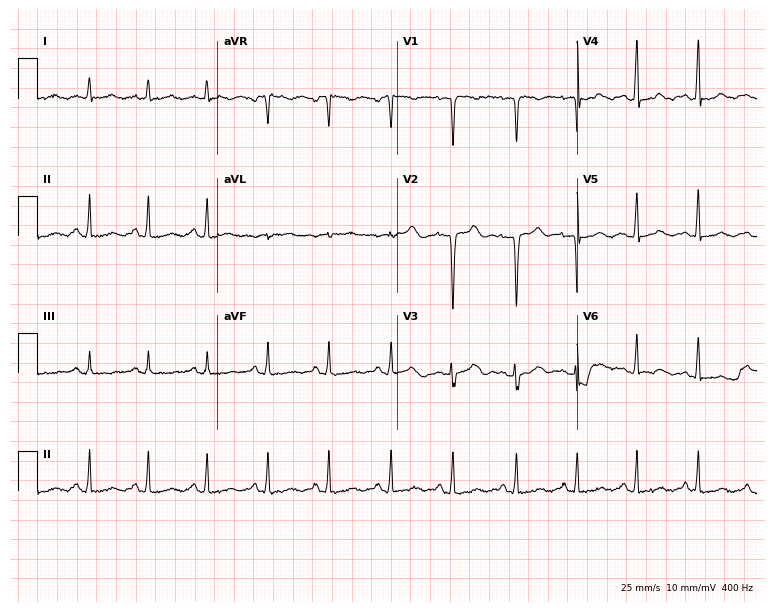
Standard 12-lead ECG recorded from a 37-year-old male patient. None of these six findings is recorded: first-degree AV block, right bundle branch block (RBBB), left bundle branch block (LBBB), sinus bradycardia, atrial fibrillation (AF), sinus tachycardia.